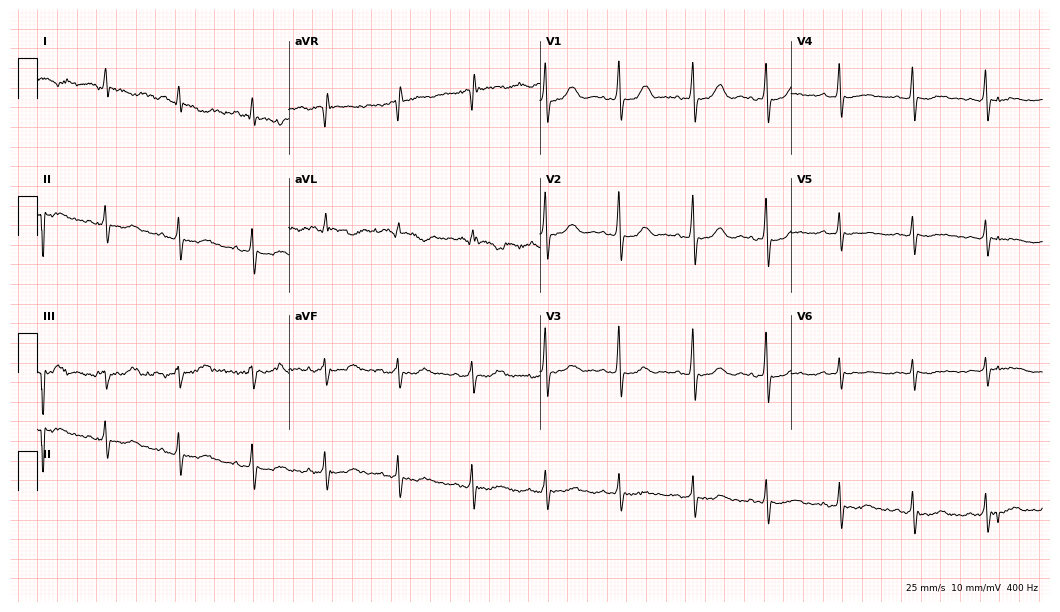
Resting 12-lead electrocardiogram (10.2-second recording at 400 Hz). Patient: a female, 79 years old. None of these six findings is recorded: first-degree AV block, right bundle branch block, left bundle branch block, sinus bradycardia, atrial fibrillation, sinus tachycardia. Other findings, if any, are not listed.